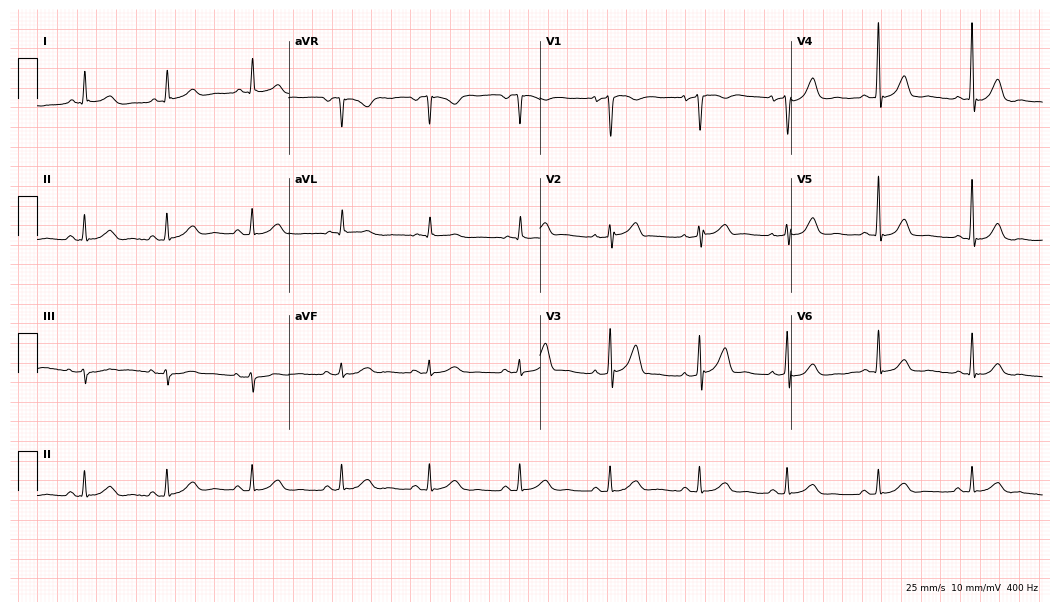
12-lead ECG (10.2-second recording at 400 Hz) from a male, 63 years old. Labelled as a normal ECG.